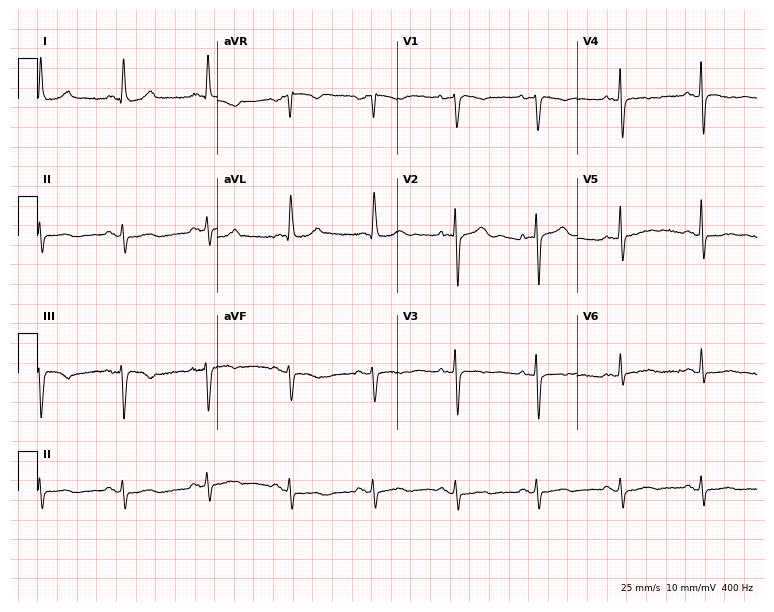
ECG (7.3-second recording at 400 Hz) — a 63-year-old woman. Screened for six findings — first-degree AV block, right bundle branch block (RBBB), left bundle branch block (LBBB), sinus bradycardia, atrial fibrillation (AF), sinus tachycardia — none is recorded. Only these six findings were labelled.